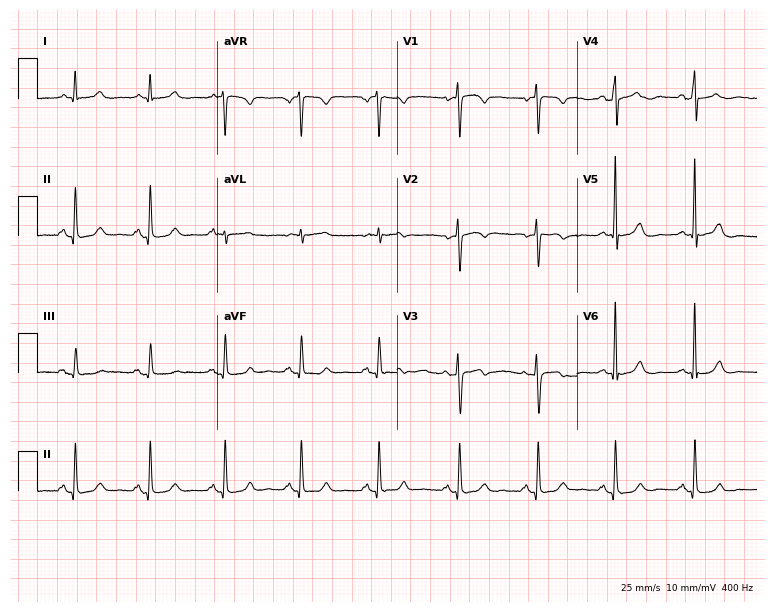
12-lead ECG from a woman, 54 years old. Screened for six findings — first-degree AV block, right bundle branch block, left bundle branch block, sinus bradycardia, atrial fibrillation, sinus tachycardia — none is recorded. Findings outside these six are not listed.